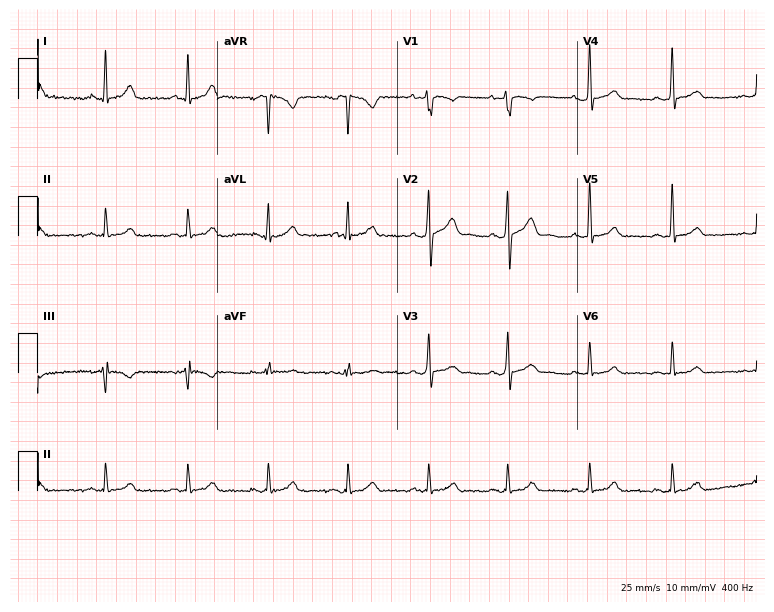
ECG (7.3-second recording at 400 Hz) — a 28-year-old man. Labelled as a normal ECG.